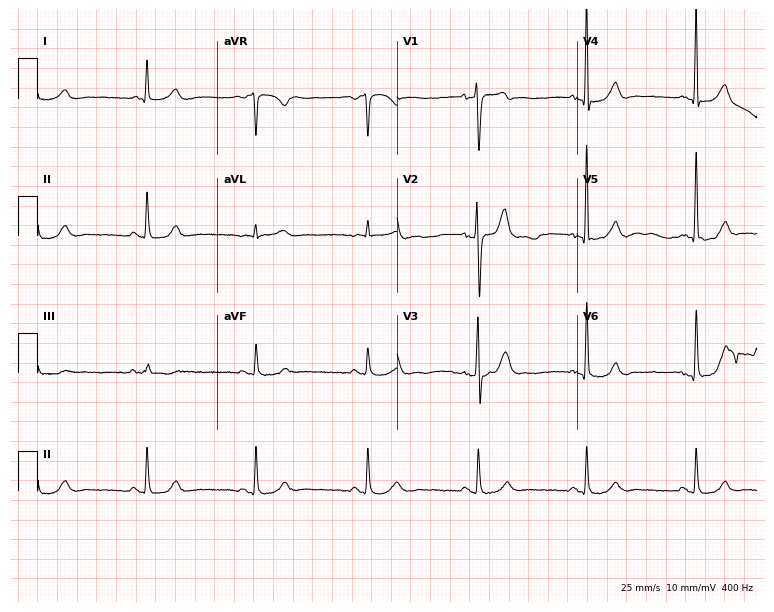
Standard 12-lead ECG recorded from a male, 72 years old (7.3-second recording at 400 Hz). Read as a normal ECG.